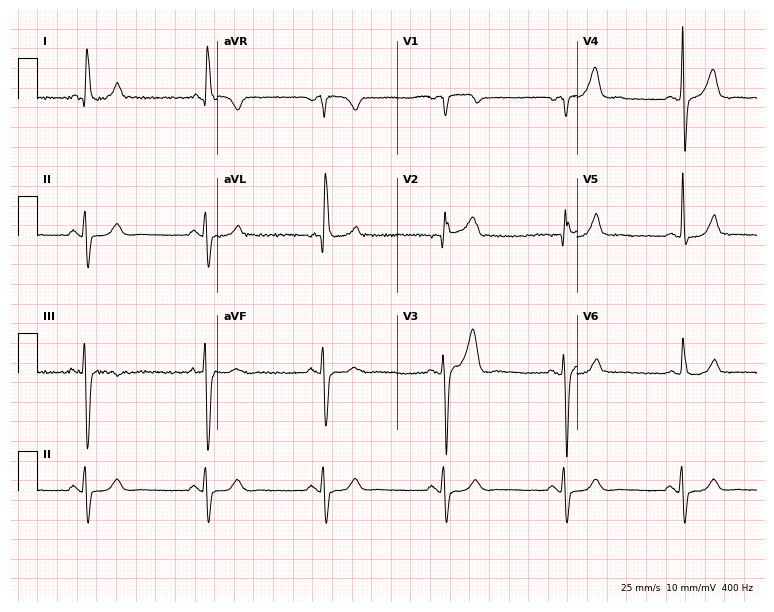
12-lead ECG from a 55-year-old male. No first-degree AV block, right bundle branch block, left bundle branch block, sinus bradycardia, atrial fibrillation or sinus tachycardia recorded for this tracing.